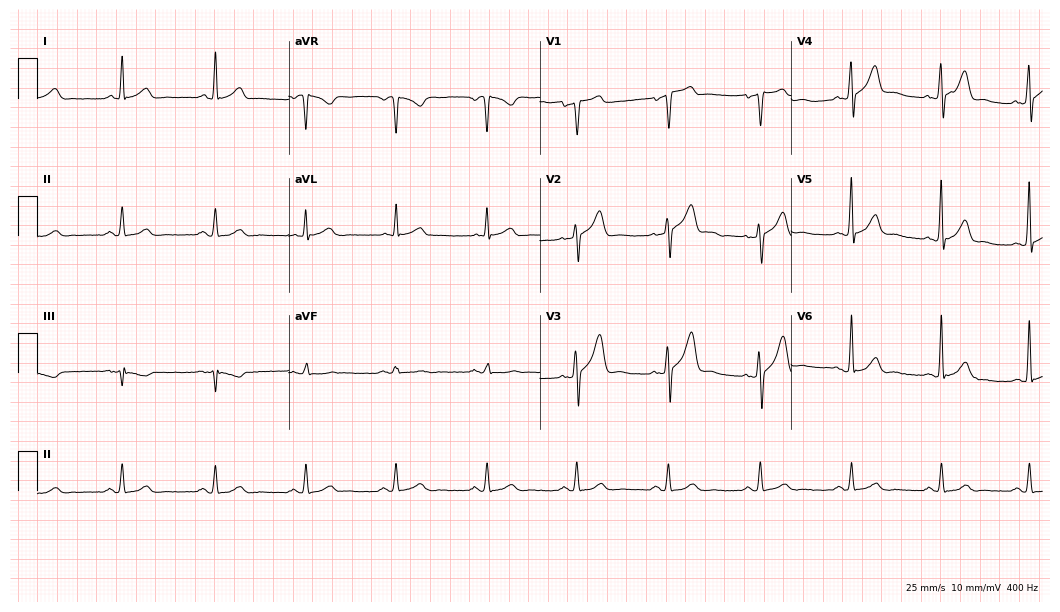
Electrocardiogram (10.2-second recording at 400 Hz), a male, 57 years old. Of the six screened findings (first-degree AV block, right bundle branch block (RBBB), left bundle branch block (LBBB), sinus bradycardia, atrial fibrillation (AF), sinus tachycardia), none is recorded.